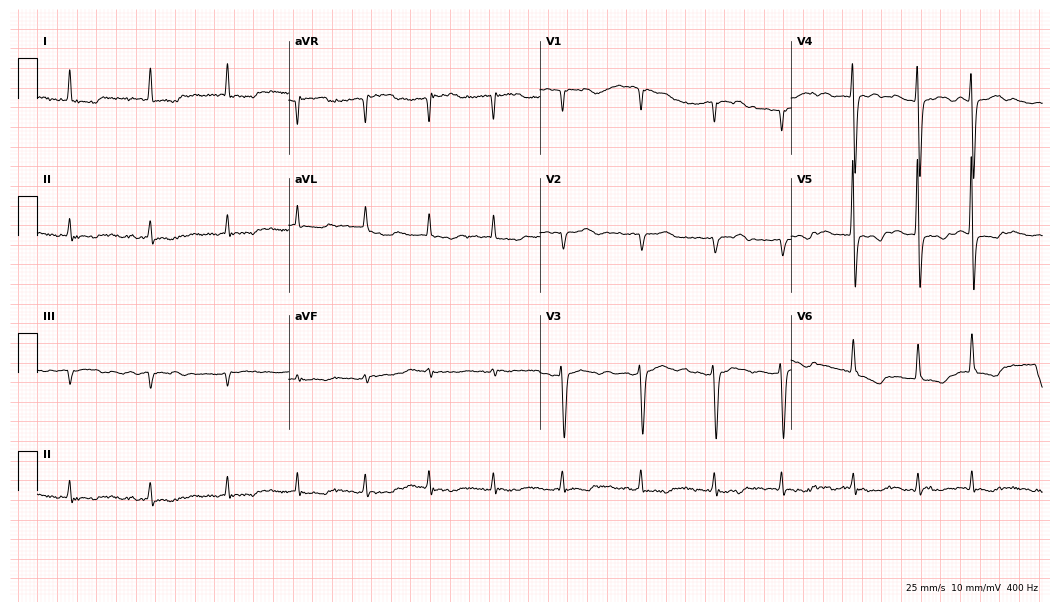
Standard 12-lead ECG recorded from a 79-year-old woman. The tracing shows atrial fibrillation (AF).